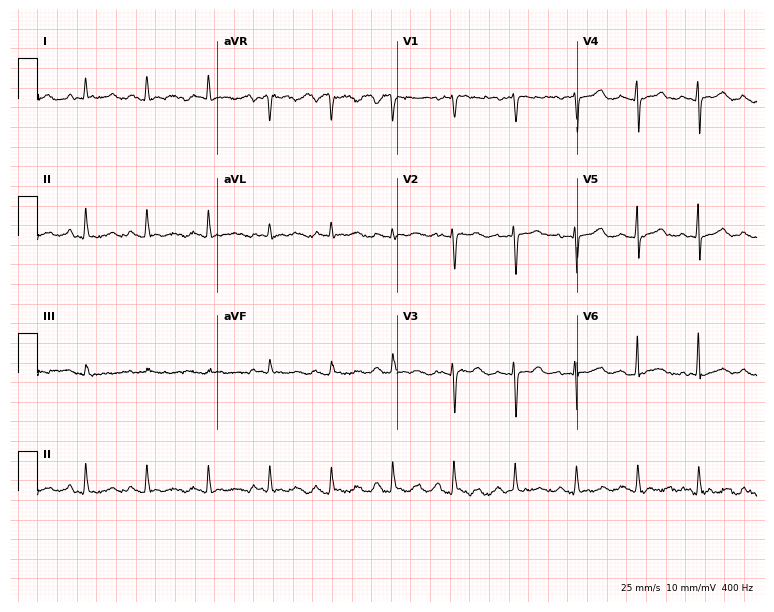
12-lead ECG from a woman, 76 years old. No first-degree AV block, right bundle branch block, left bundle branch block, sinus bradycardia, atrial fibrillation or sinus tachycardia recorded for this tracing.